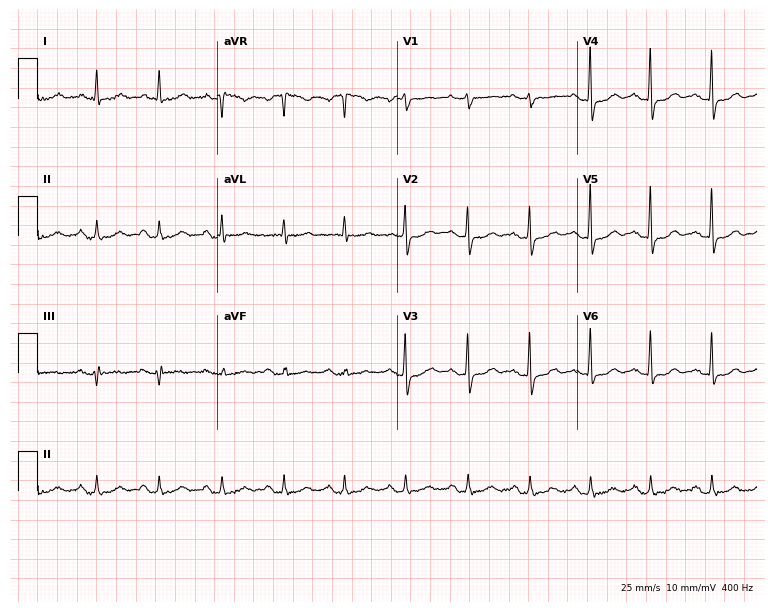
12-lead ECG (7.3-second recording at 400 Hz) from a female, 70 years old. Labelled as a normal ECG.